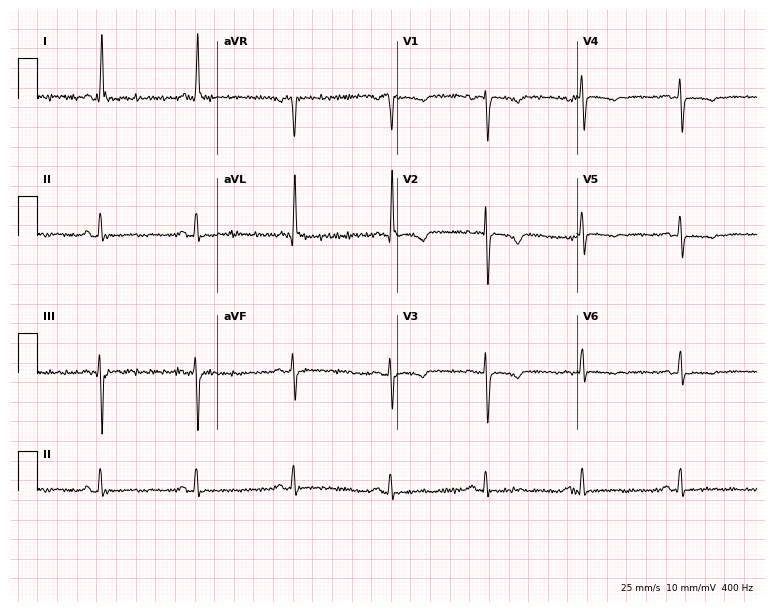
ECG — a female patient, 66 years old. Screened for six findings — first-degree AV block, right bundle branch block, left bundle branch block, sinus bradycardia, atrial fibrillation, sinus tachycardia — none is recorded.